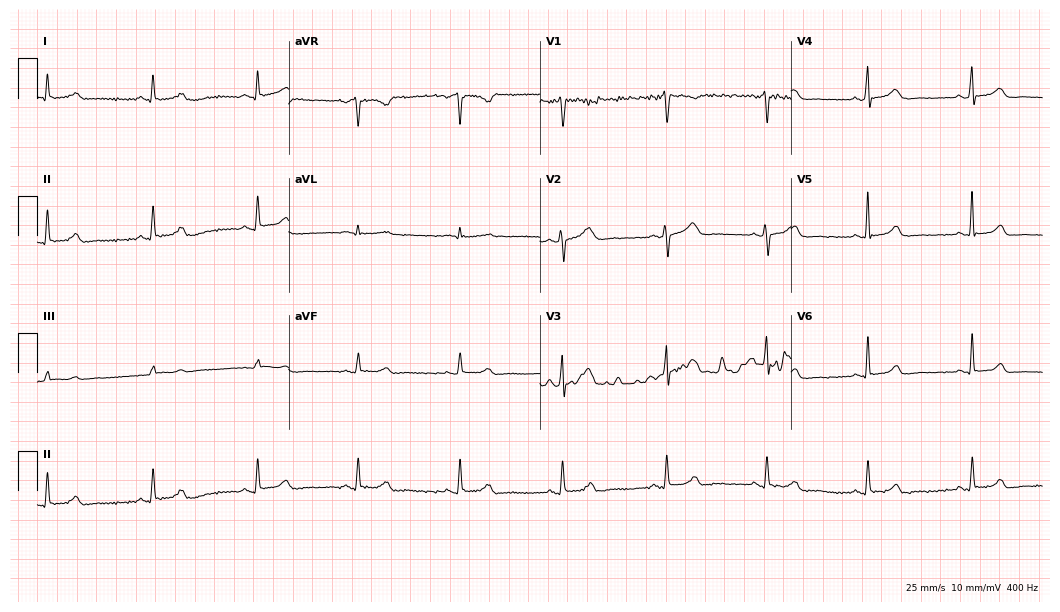
Standard 12-lead ECG recorded from a woman, 49 years old. None of these six findings is recorded: first-degree AV block, right bundle branch block, left bundle branch block, sinus bradycardia, atrial fibrillation, sinus tachycardia.